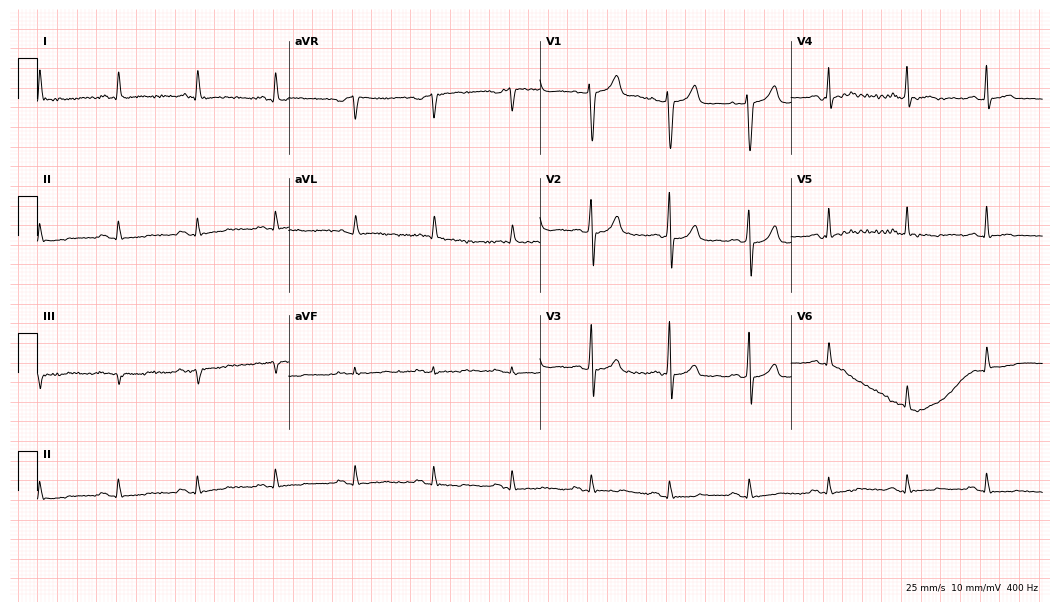
Electrocardiogram (10.2-second recording at 400 Hz), a male, 74 years old. Overall reading on record: normal ECG.